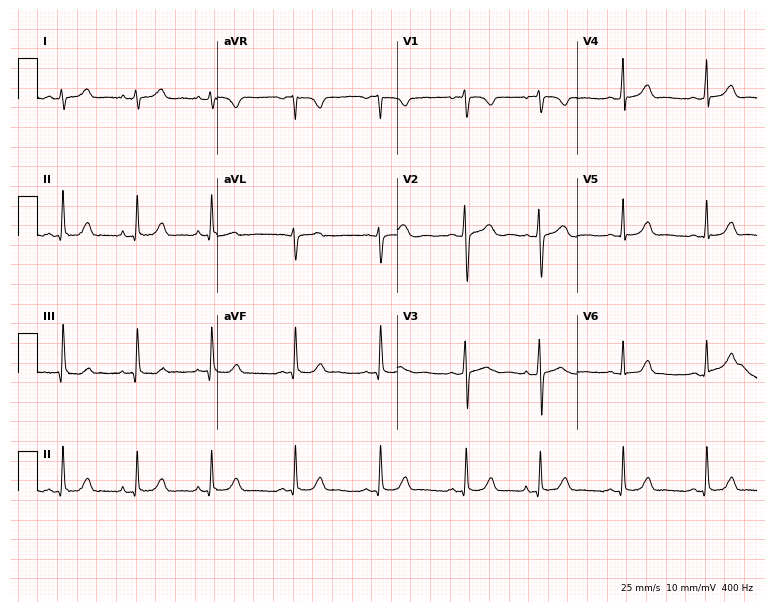
Resting 12-lead electrocardiogram (7.3-second recording at 400 Hz). Patient: an 18-year-old female. None of these six findings is recorded: first-degree AV block, right bundle branch block (RBBB), left bundle branch block (LBBB), sinus bradycardia, atrial fibrillation (AF), sinus tachycardia. Findings outside these six are not listed.